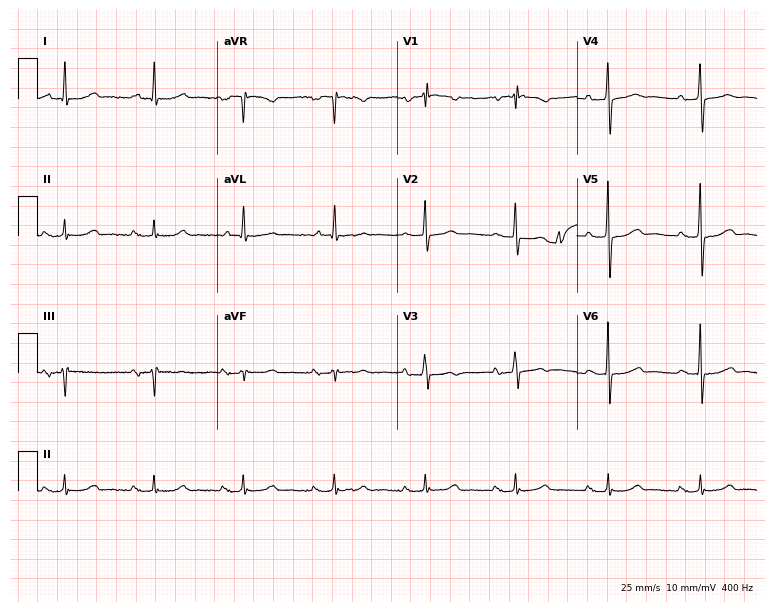
ECG (7.3-second recording at 400 Hz) — a female, 72 years old. Screened for six findings — first-degree AV block, right bundle branch block, left bundle branch block, sinus bradycardia, atrial fibrillation, sinus tachycardia — none is recorded. Other findings, if any, are not listed.